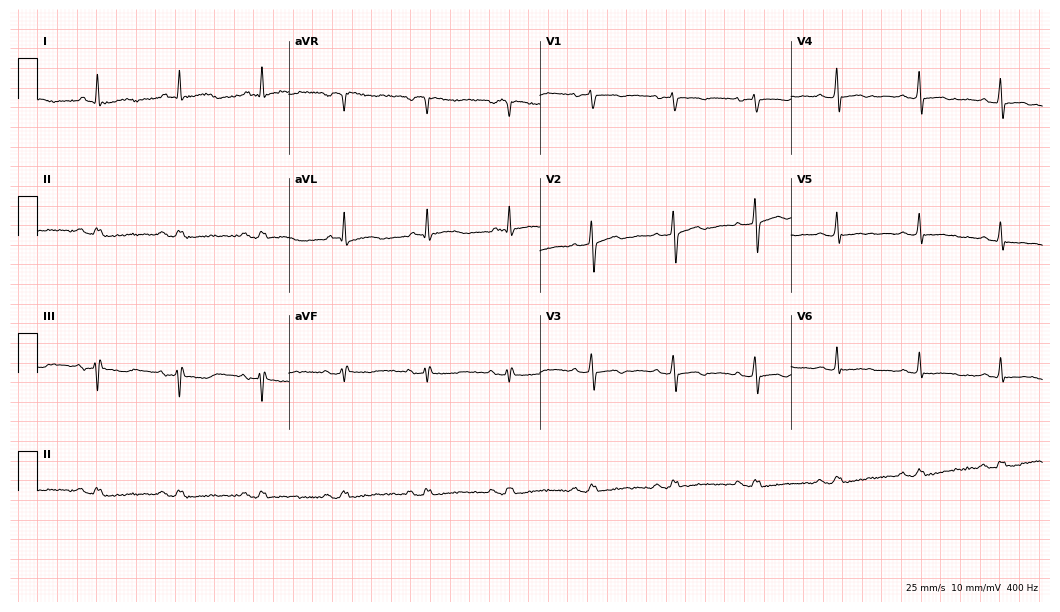
12-lead ECG from a 71-year-old woman. No first-degree AV block, right bundle branch block (RBBB), left bundle branch block (LBBB), sinus bradycardia, atrial fibrillation (AF) or sinus tachycardia recorded for this tracing.